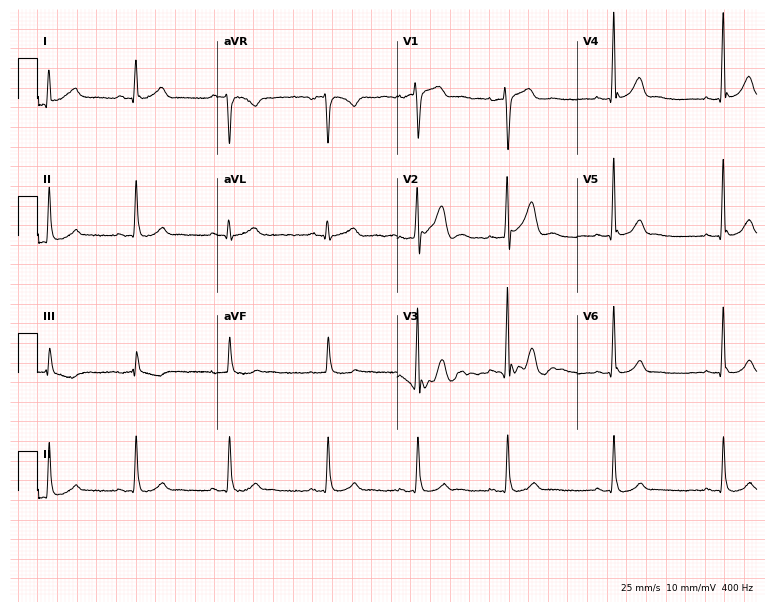
Electrocardiogram (7.3-second recording at 400 Hz), a man, 51 years old. Overall reading on record: normal ECG.